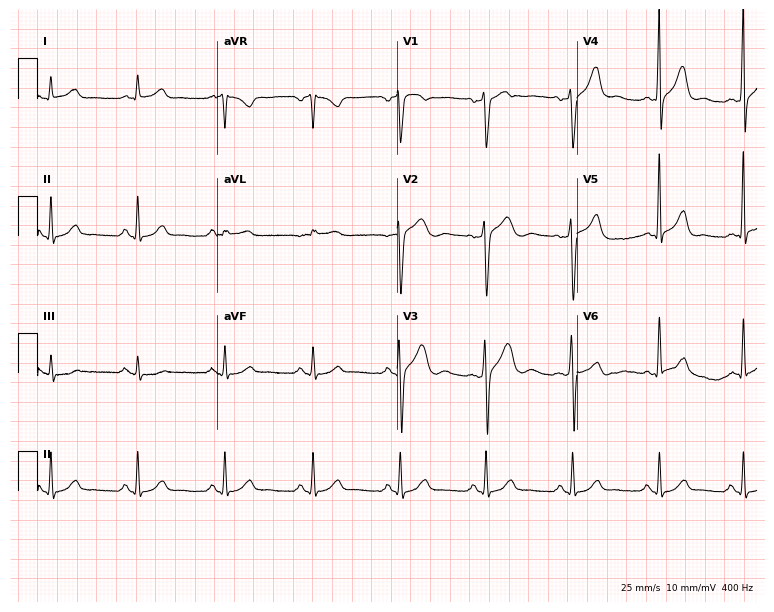
Resting 12-lead electrocardiogram (7.3-second recording at 400 Hz). Patient: a 38-year-old male. Read as a normal ECG.